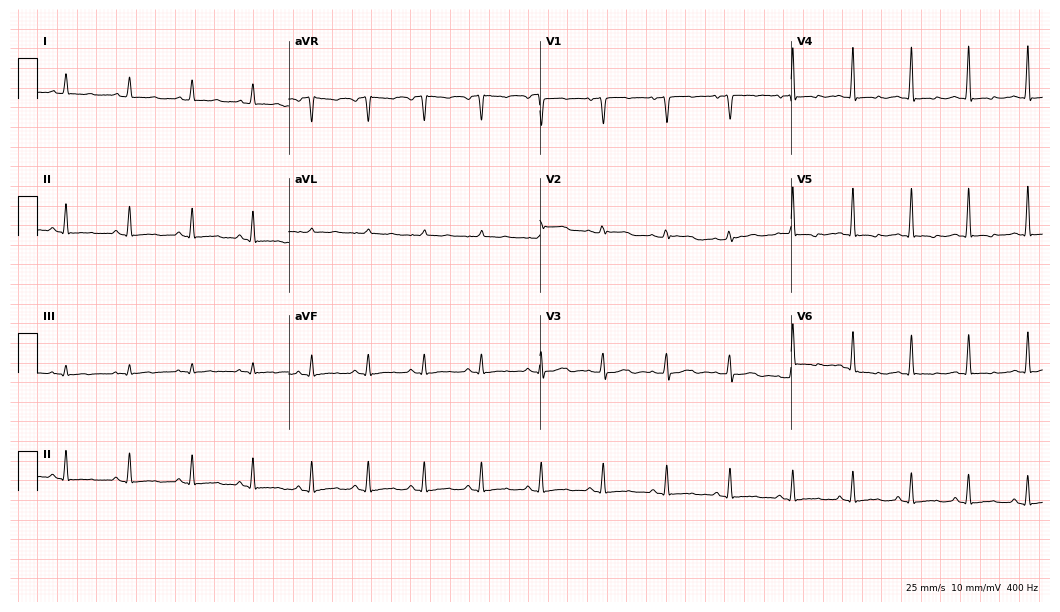
Electrocardiogram (10.2-second recording at 400 Hz), a 28-year-old woman. Of the six screened findings (first-degree AV block, right bundle branch block (RBBB), left bundle branch block (LBBB), sinus bradycardia, atrial fibrillation (AF), sinus tachycardia), none is recorded.